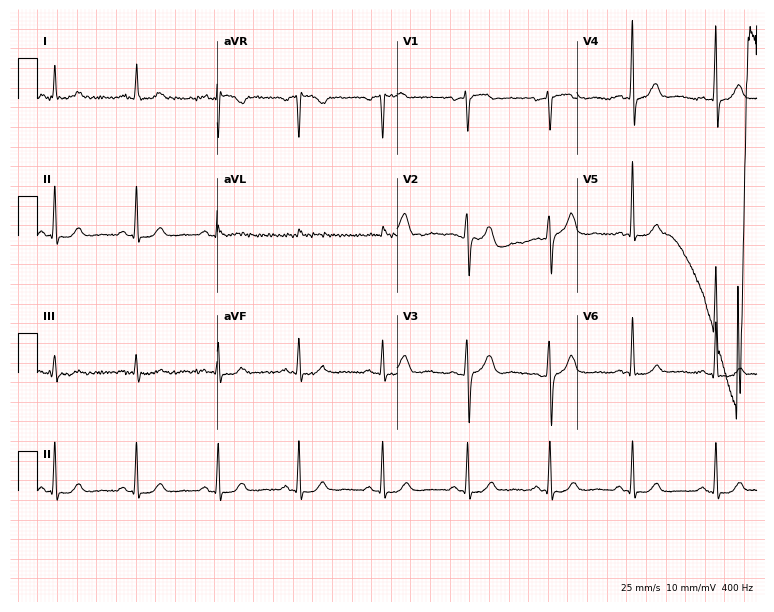
Electrocardiogram, a woman, 53 years old. Of the six screened findings (first-degree AV block, right bundle branch block, left bundle branch block, sinus bradycardia, atrial fibrillation, sinus tachycardia), none is recorded. Findings outside these six are not listed.